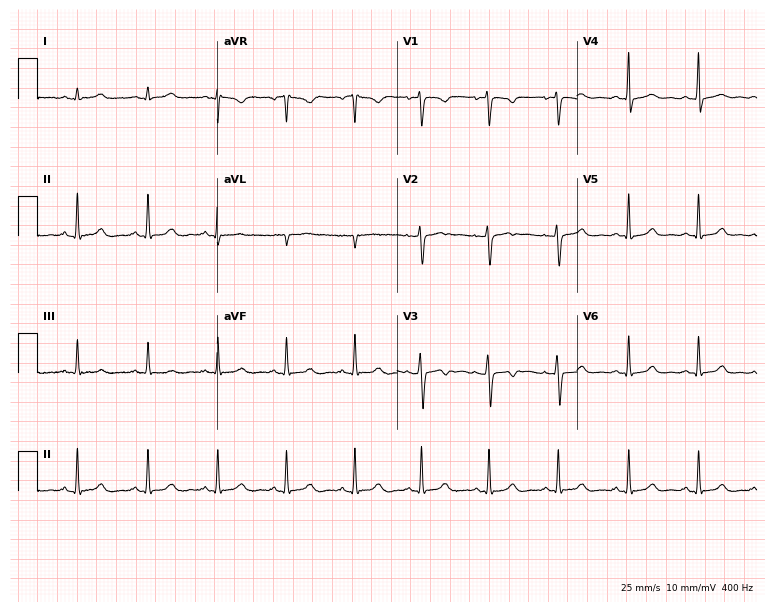
12-lead ECG from a female, 41 years old (7.3-second recording at 400 Hz). No first-degree AV block, right bundle branch block, left bundle branch block, sinus bradycardia, atrial fibrillation or sinus tachycardia recorded for this tracing.